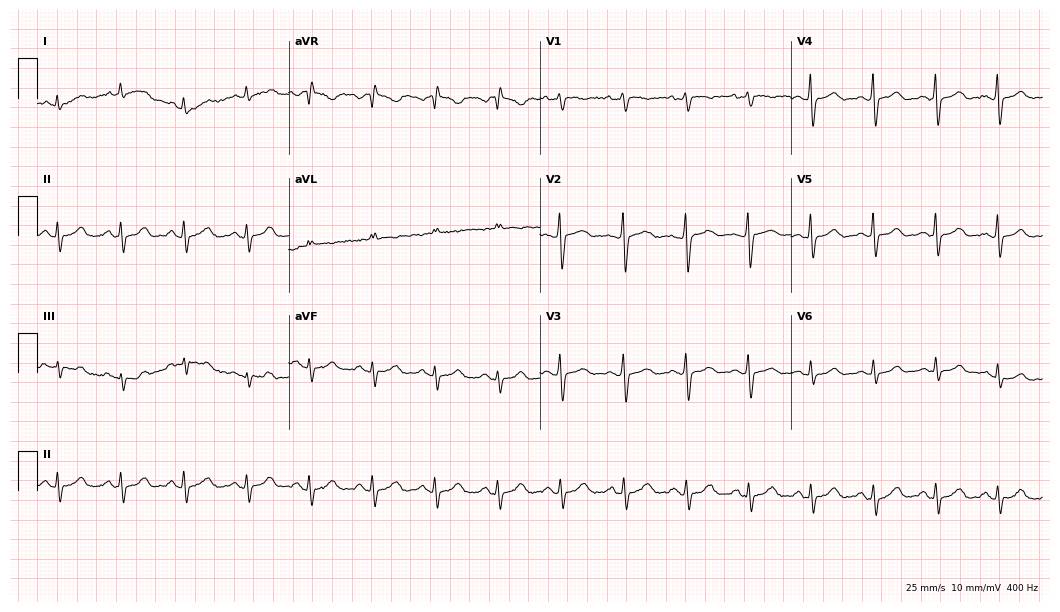
ECG (10.2-second recording at 400 Hz) — a 57-year-old female. Screened for six findings — first-degree AV block, right bundle branch block, left bundle branch block, sinus bradycardia, atrial fibrillation, sinus tachycardia — none is recorded.